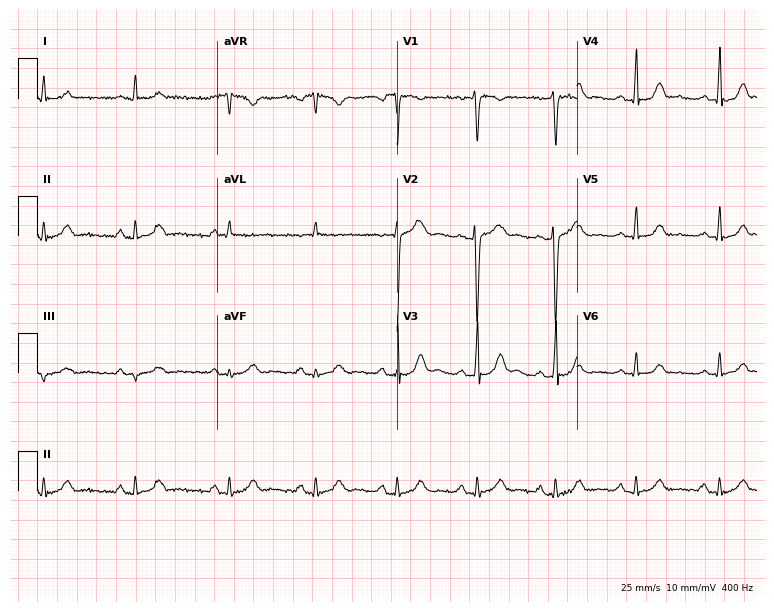
Standard 12-lead ECG recorded from a 29-year-old female patient (7.3-second recording at 400 Hz). None of these six findings is recorded: first-degree AV block, right bundle branch block, left bundle branch block, sinus bradycardia, atrial fibrillation, sinus tachycardia. Findings outside these six are not listed.